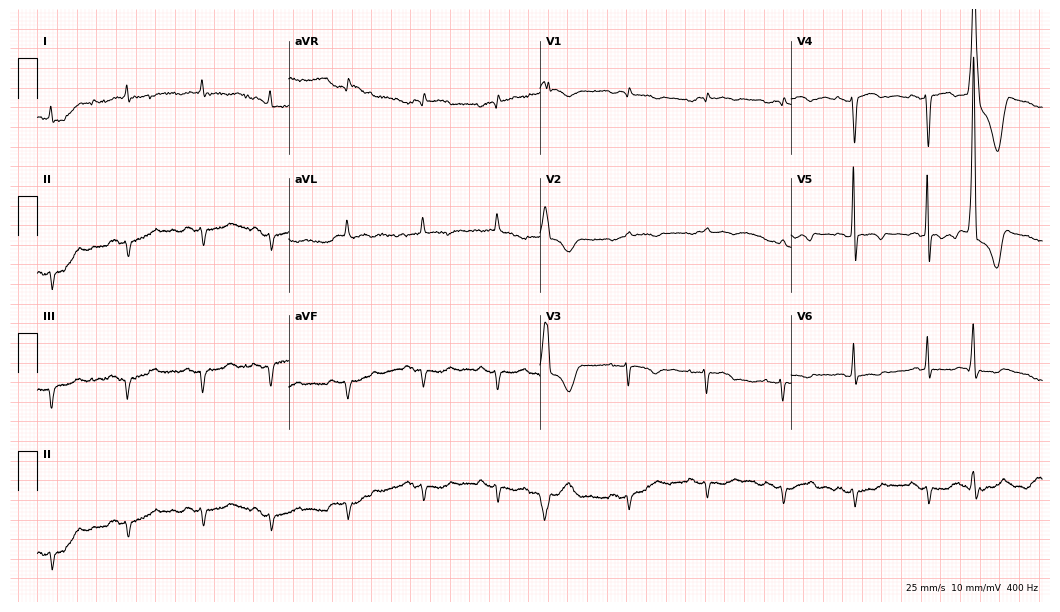
12-lead ECG (10.2-second recording at 400 Hz) from a female patient, 81 years old. Screened for six findings — first-degree AV block, right bundle branch block, left bundle branch block, sinus bradycardia, atrial fibrillation, sinus tachycardia — none is recorded. Findings outside these six are not listed.